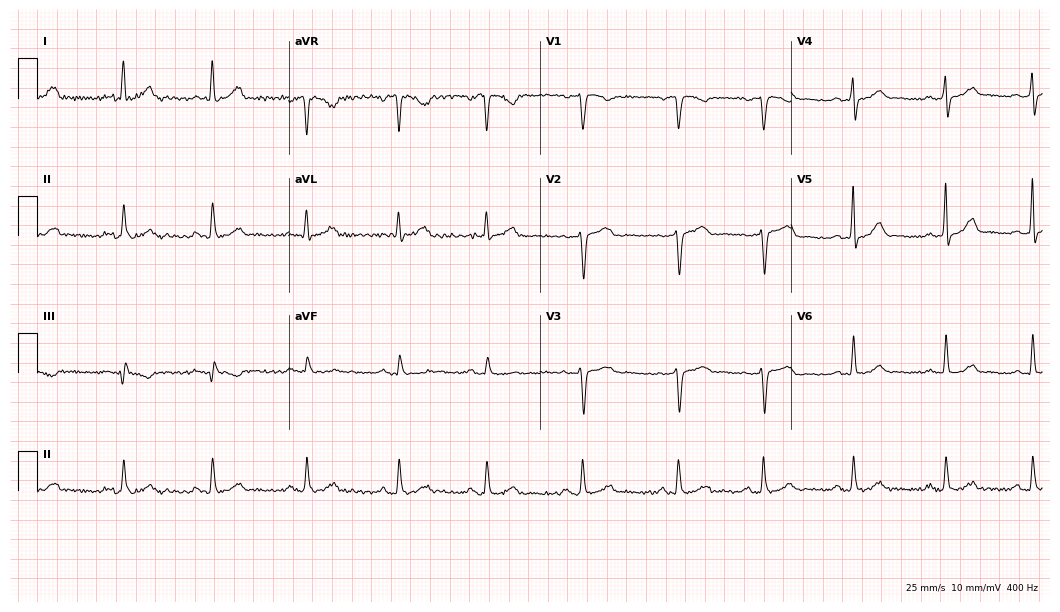
12-lead ECG (10.2-second recording at 400 Hz) from a 40-year-old female. Labelled as a normal ECG.